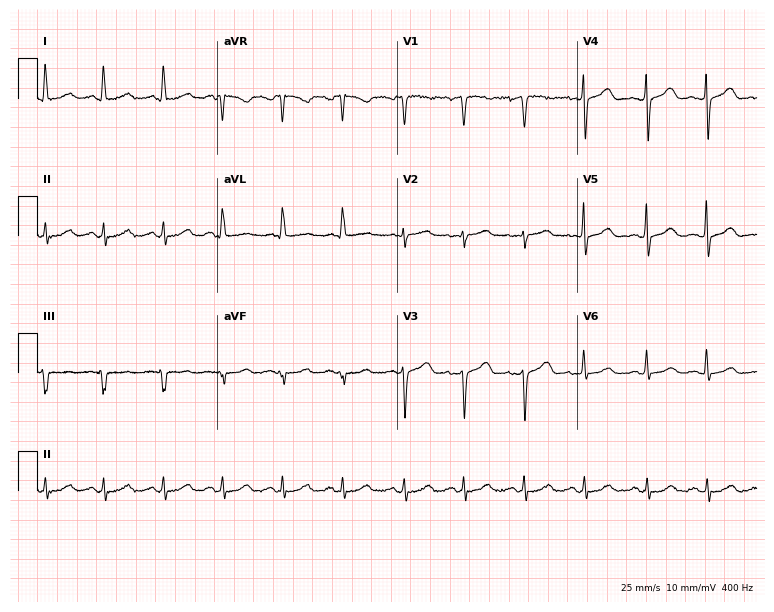
Standard 12-lead ECG recorded from a 46-year-old woman (7.3-second recording at 400 Hz). None of these six findings is recorded: first-degree AV block, right bundle branch block, left bundle branch block, sinus bradycardia, atrial fibrillation, sinus tachycardia. Only these six findings were labelled.